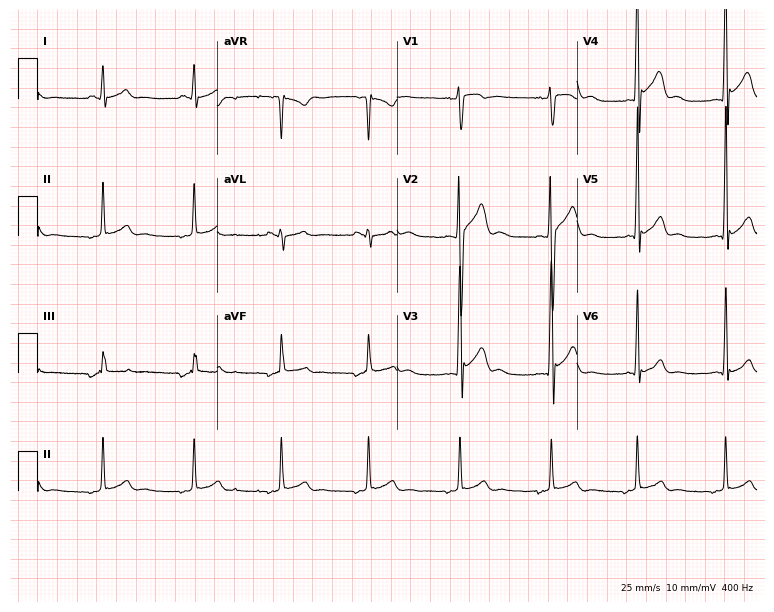
12-lead ECG from a man, 18 years old. Screened for six findings — first-degree AV block, right bundle branch block (RBBB), left bundle branch block (LBBB), sinus bradycardia, atrial fibrillation (AF), sinus tachycardia — none is recorded.